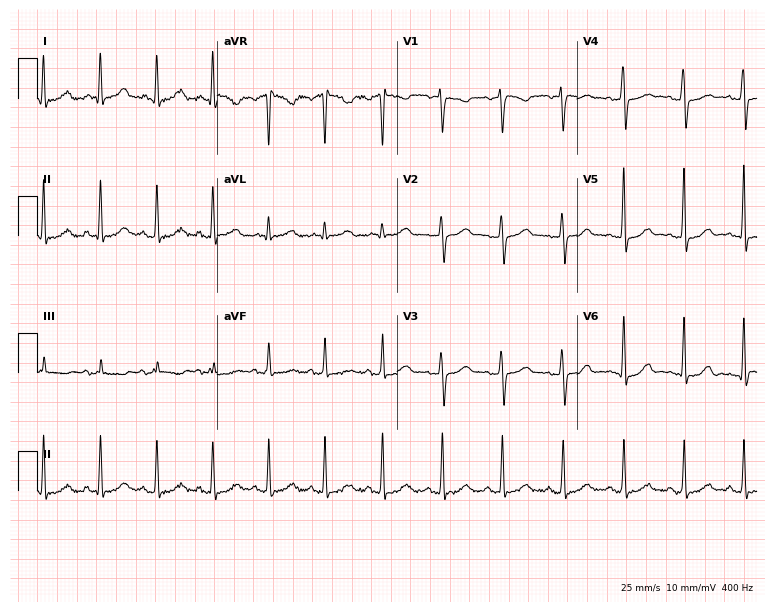
Electrocardiogram (7.3-second recording at 400 Hz), a female patient, 58 years old. Overall reading on record: normal ECG.